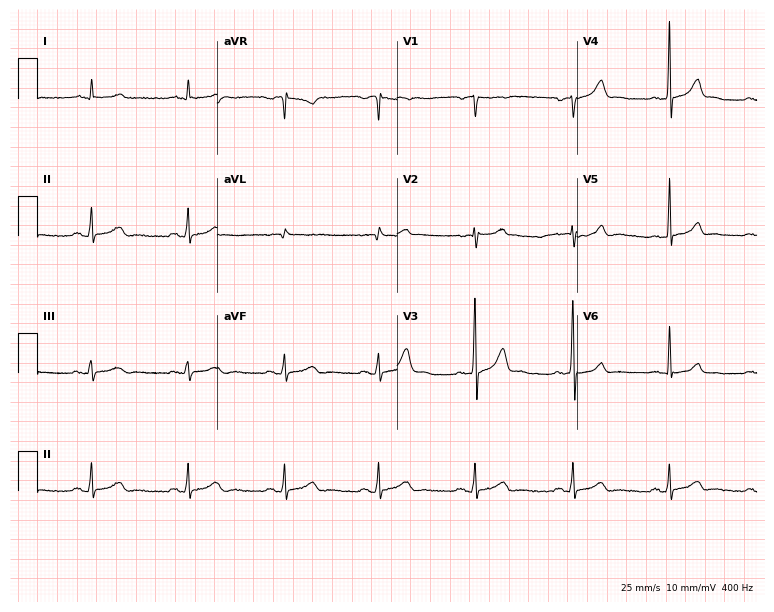
Standard 12-lead ECG recorded from a 53-year-old male. None of these six findings is recorded: first-degree AV block, right bundle branch block, left bundle branch block, sinus bradycardia, atrial fibrillation, sinus tachycardia.